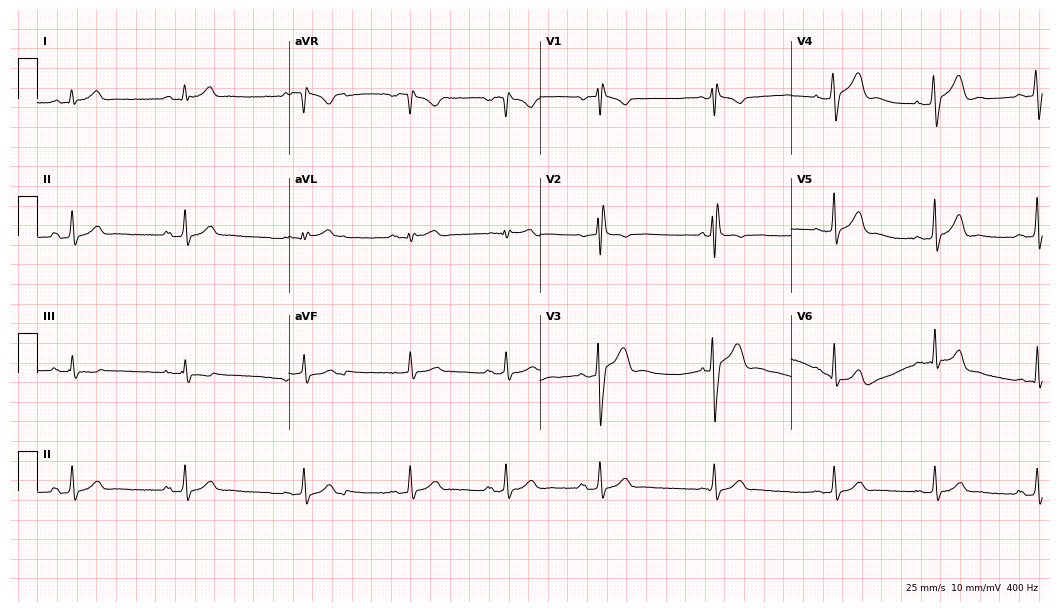
12-lead ECG (10.2-second recording at 400 Hz) from a 23-year-old male. Findings include right bundle branch block.